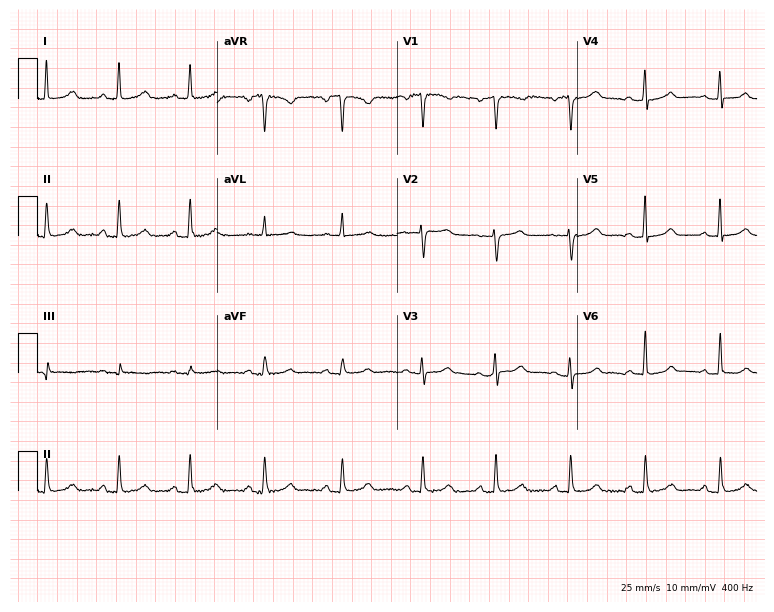
Electrocardiogram, a 40-year-old woman. Of the six screened findings (first-degree AV block, right bundle branch block (RBBB), left bundle branch block (LBBB), sinus bradycardia, atrial fibrillation (AF), sinus tachycardia), none is recorded.